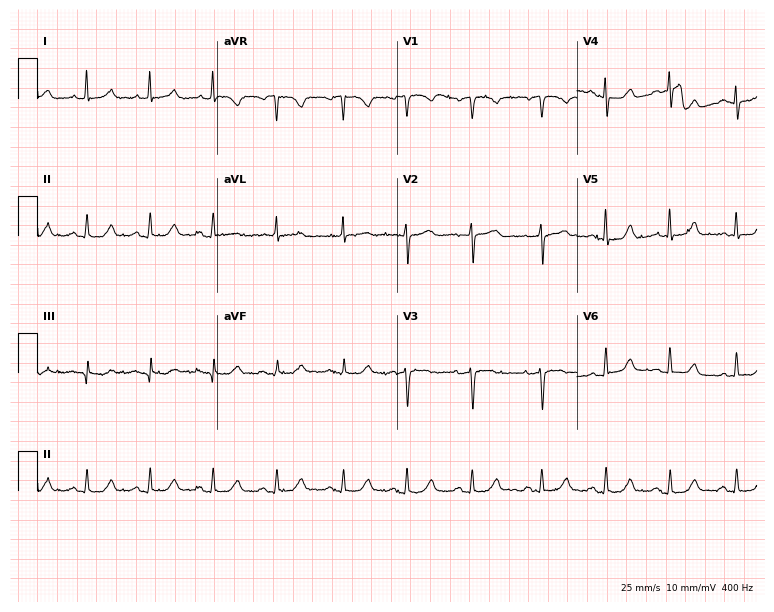
Electrocardiogram, a female patient, 79 years old. Overall reading on record: normal ECG.